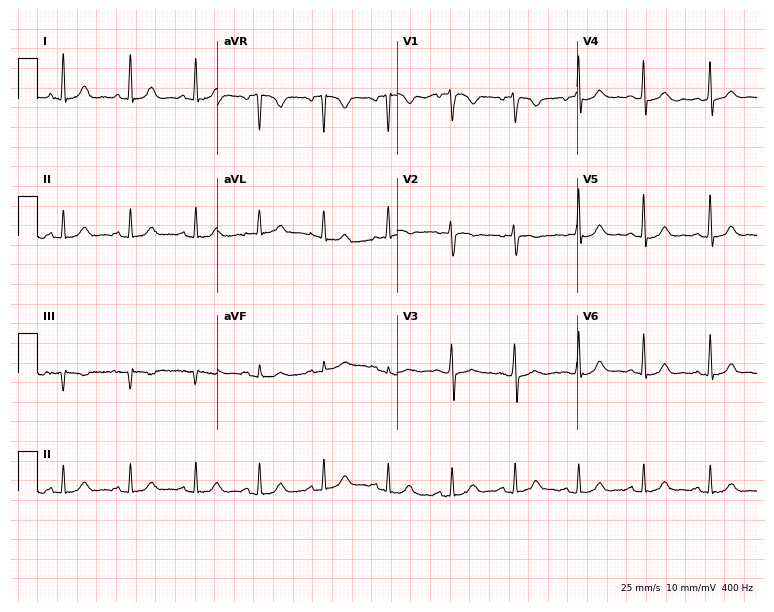
Electrocardiogram (7.3-second recording at 400 Hz), a woman, 46 years old. Overall reading on record: normal ECG.